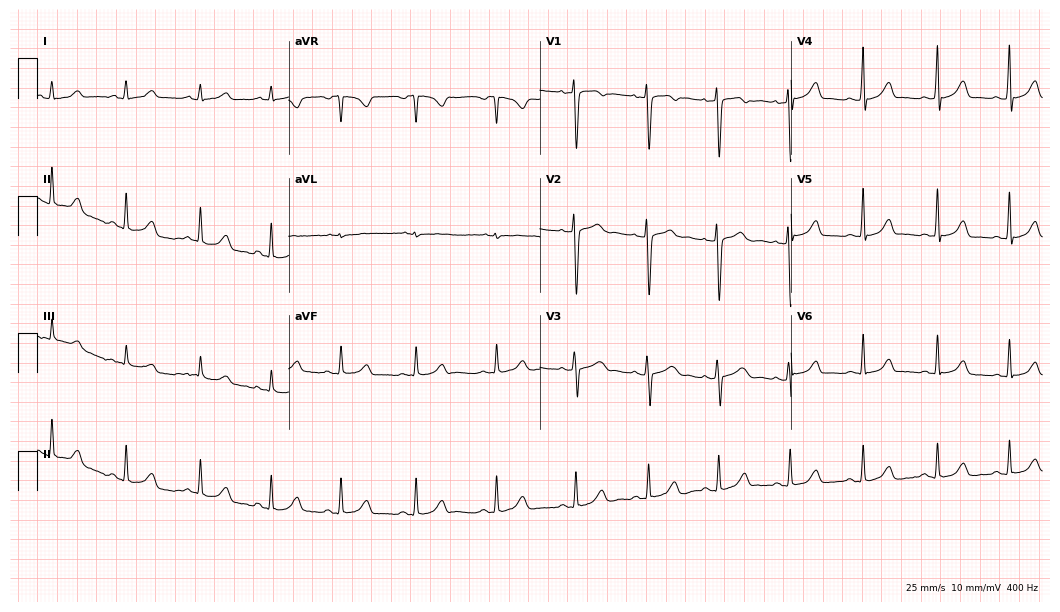
Electrocardiogram, a 26-year-old woman. Overall reading on record: normal ECG.